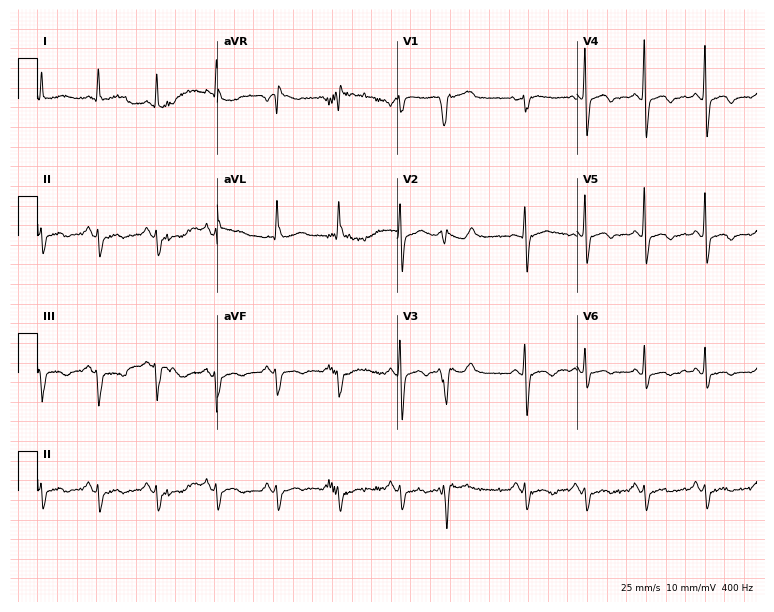
12-lead ECG from a 75-year-old female patient (7.3-second recording at 400 Hz). No first-degree AV block, right bundle branch block, left bundle branch block, sinus bradycardia, atrial fibrillation or sinus tachycardia recorded for this tracing. Findings outside these six are not listed.